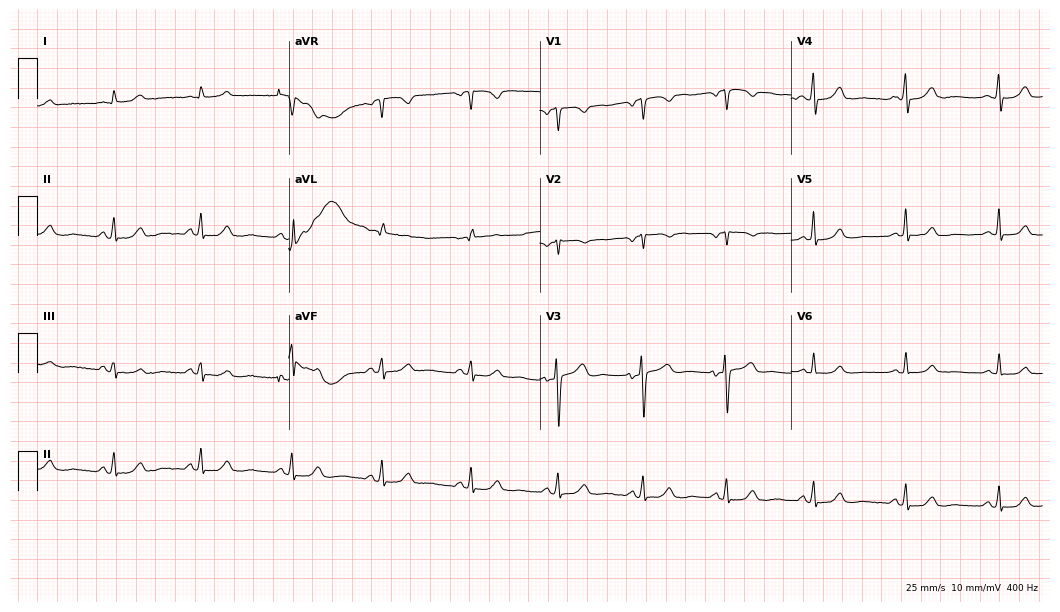
Resting 12-lead electrocardiogram. Patient: a woman, 58 years old. None of these six findings is recorded: first-degree AV block, right bundle branch block (RBBB), left bundle branch block (LBBB), sinus bradycardia, atrial fibrillation (AF), sinus tachycardia.